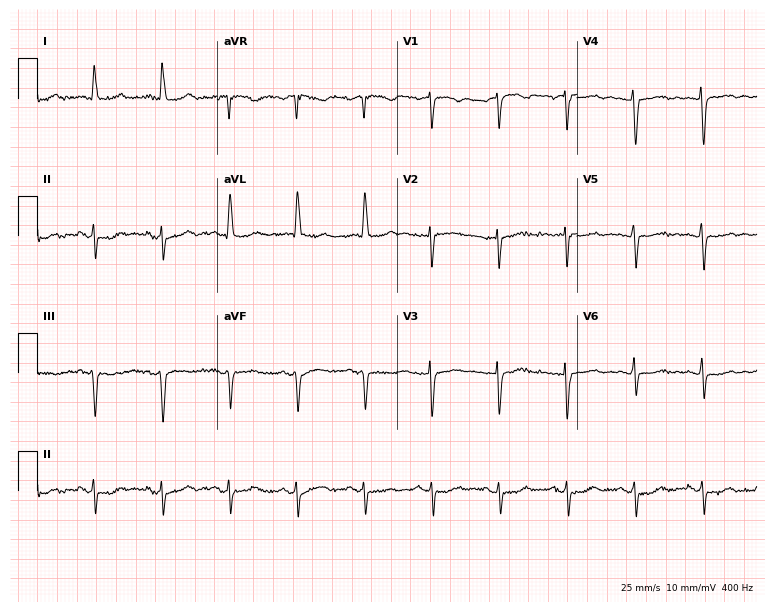
Electrocardiogram (7.3-second recording at 400 Hz), a 71-year-old woman. Of the six screened findings (first-degree AV block, right bundle branch block (RBBB), left bundle branch block (LBBB), sinus bradycardia, atrial fibrillation (AF), sinus tachycardia), none is recorded. Findings outside these six are not listed.